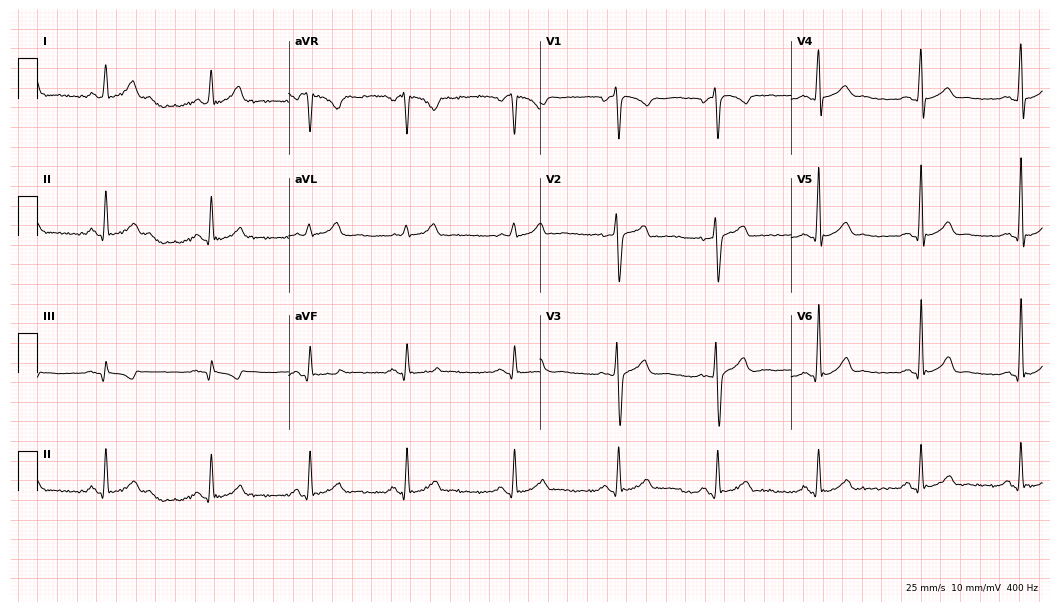
ECG — a man, 33 years old. Labelled as a normal ECG.